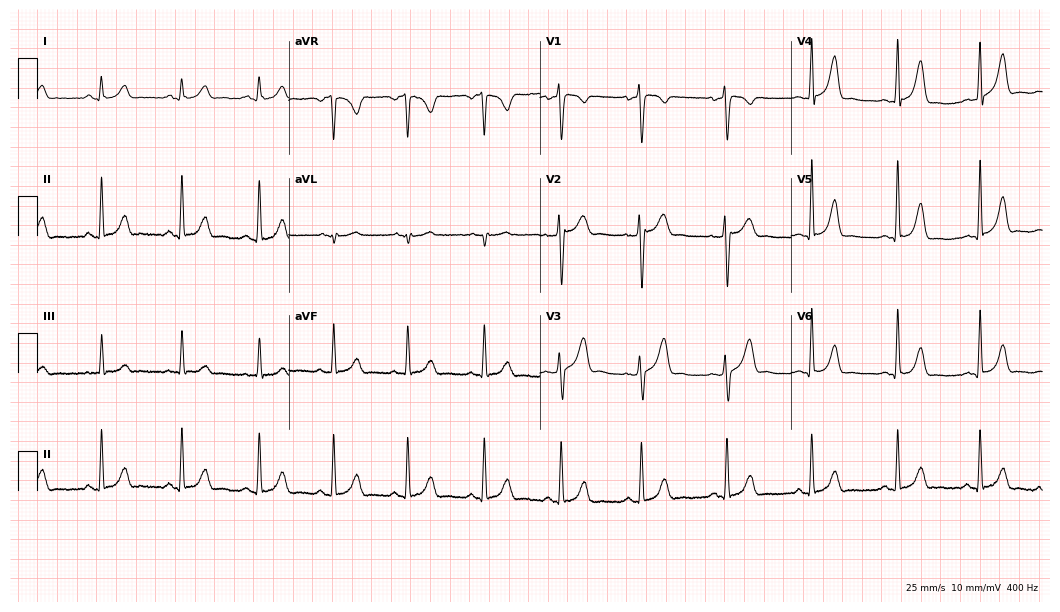
Electrocardiogram (10.2-second recording at 400 Hz), a female, 31 years old. Of the six screened findings (first-degree AV block, right bundle branch block, left bundle branch block, sinus bradycardia, atrial fibrillation, sinus tachycardia), none is recorded. Findings outside these six are not listed.